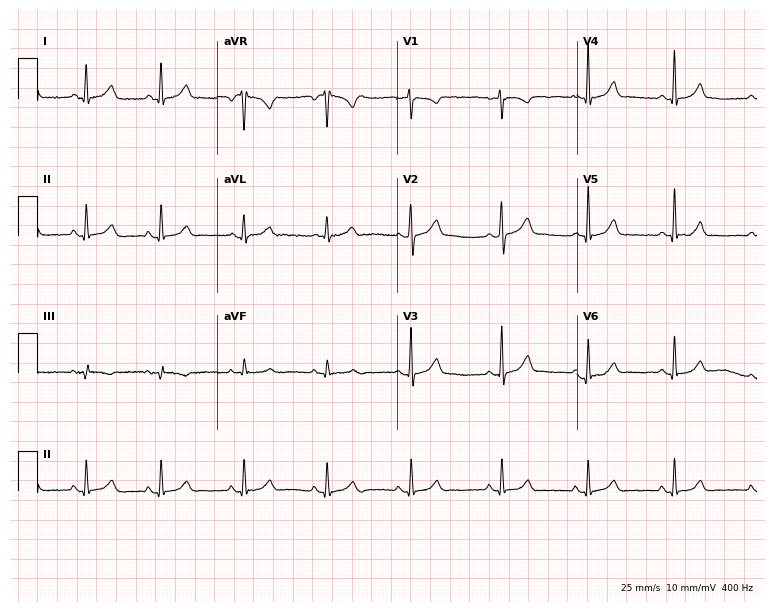
12-lead ECG (7.3-second recording at 400 Hz) from a female, 25 years old. Labelled as a normal ECG.